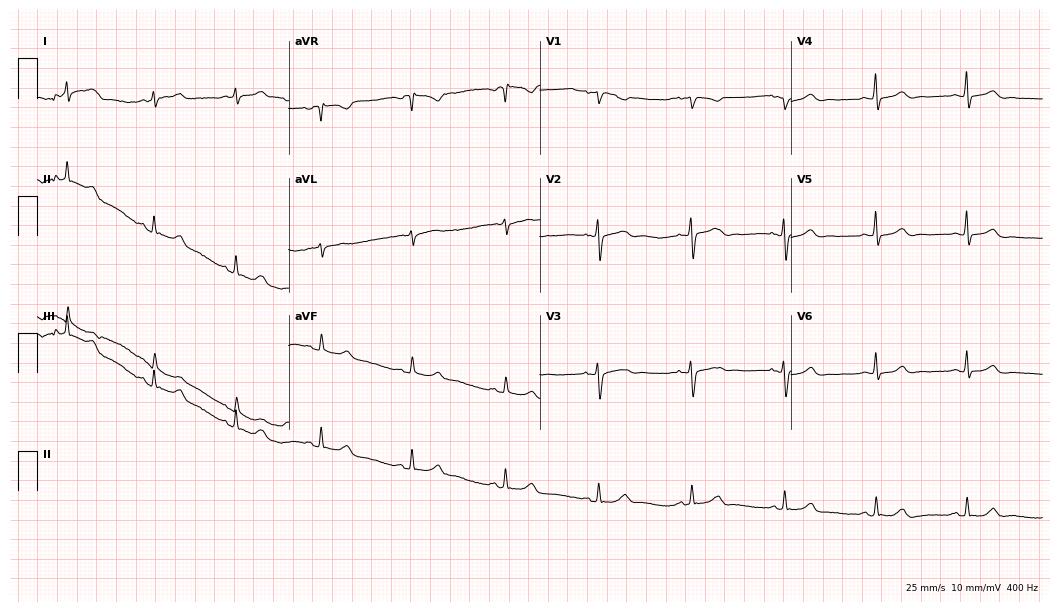
Electrocardiogram, a 27-year-old woman. Of the six screened findings (first-degree AV block, right bundle branch block, left bundle branch block, sinus bradycardia, atrial fibrillation, sinus tachycardia), none is recorded.